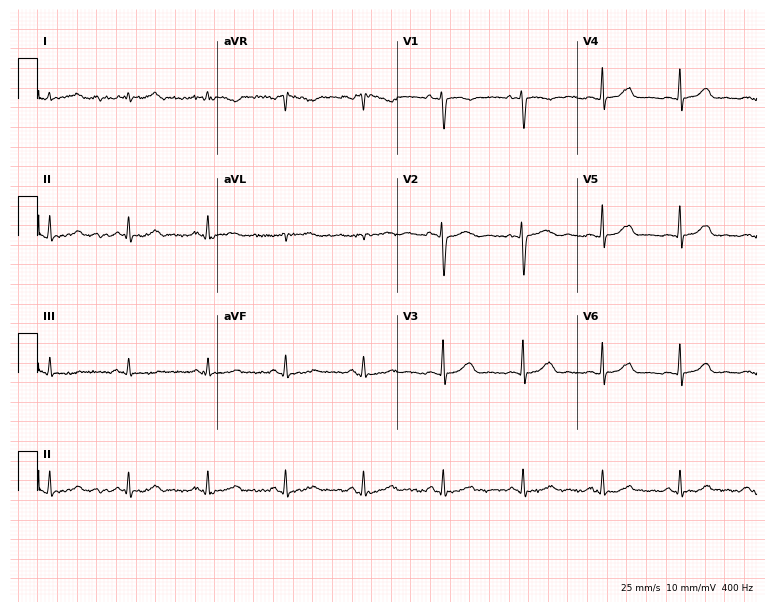
Electrocardiogram (7.3-second recording at 400 Hz), a 45-year-old female patient. Overall reading on record: normal ECG.